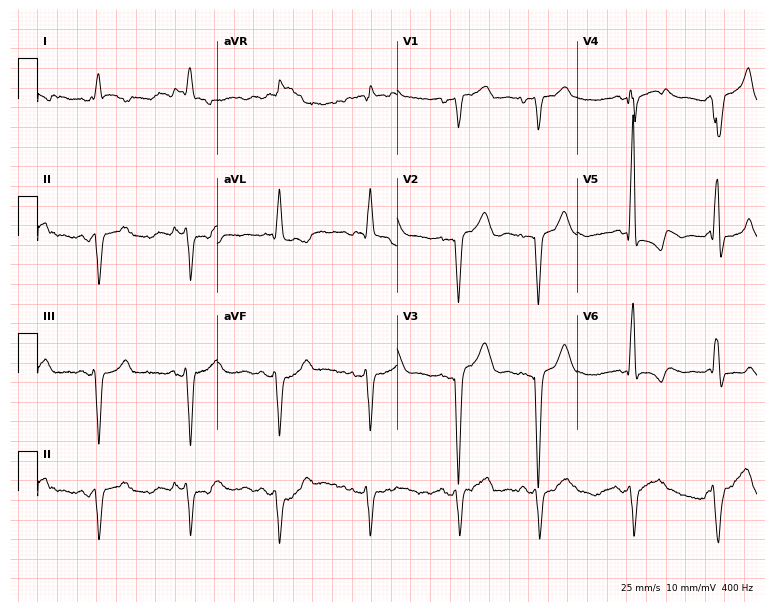
12-lead ECG (7.3-second recording at 400 Hz) from a male patient, 67 years old. Screened for six findings — first-degree AV block, right bundle branch block, left bundle branch block, sinus bradycardia, atrial fibrillation, sinus tachycardia — none is recorded.